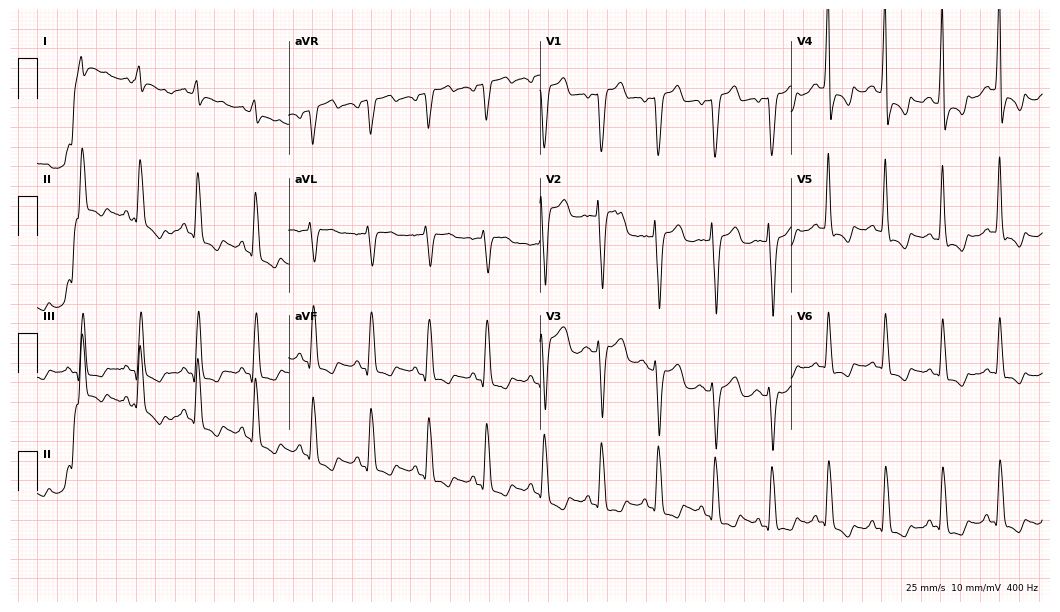
12-lead ECG (10.2-second recording at 400 Hz) from a 54-year-old male patient. Findings include sinus tachycardia (a sinus rate of 100 beats per minute or more).